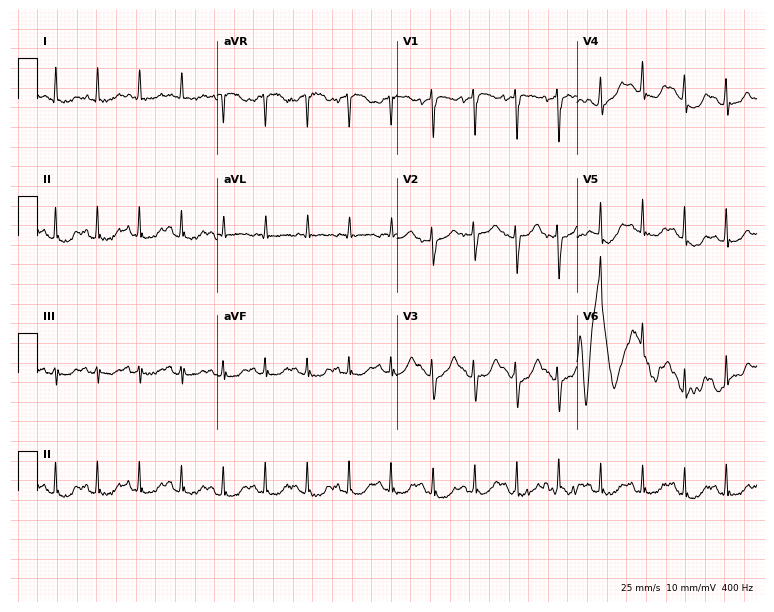
Standard 12-lead ECG recorded from an 80-year-old male patient. The tracing shows sinus tachycardia (a sinus rate of 100 beats per minute or more).